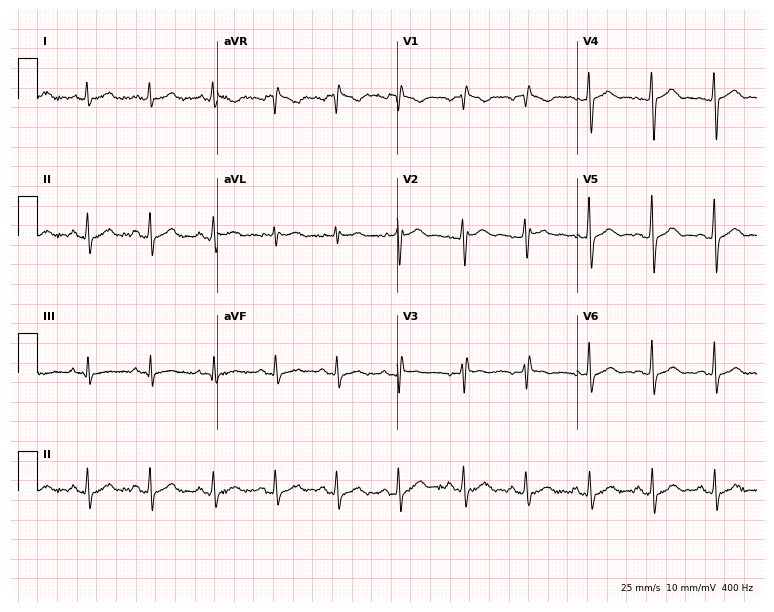
Electrocardiogram, a 52-year-old man. Of the six screened findings (first-degree AV block, right bundle branch block, left bundle branch block, sinus bradycardia, atrial fibrillation, sinus tachycardia), none is recorded.